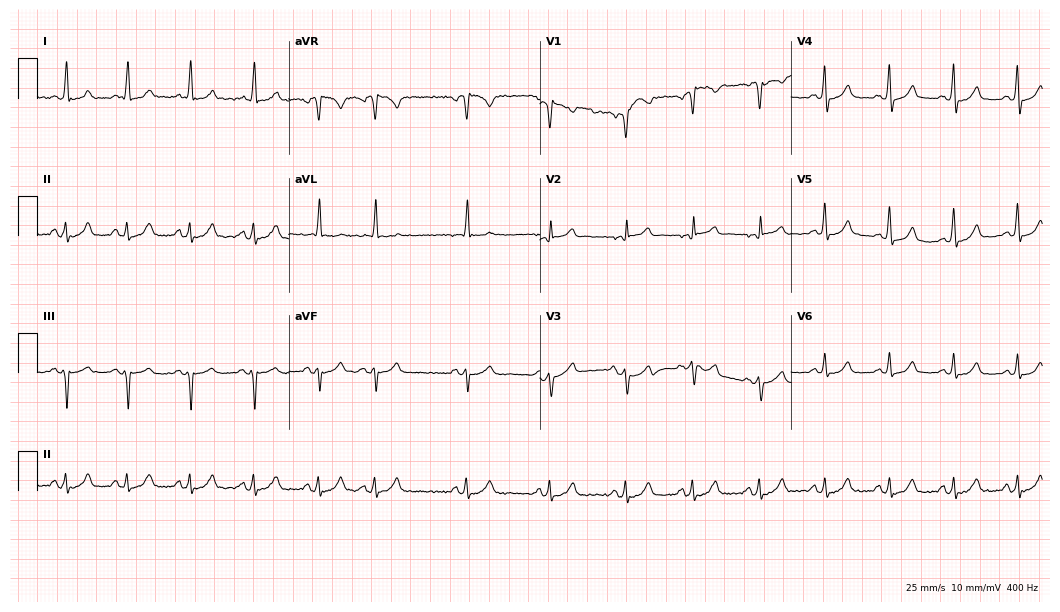
ECG (10.2-second recording at 400 Hz) — a 76-year-old male. Screened for six findings — first-degree AV block, right bundle branch block (RBBB), left bundle branch block (LBBB), sinus bradycardia, atrial fibrillation (AF), sinus tachycardia — none is recorded.